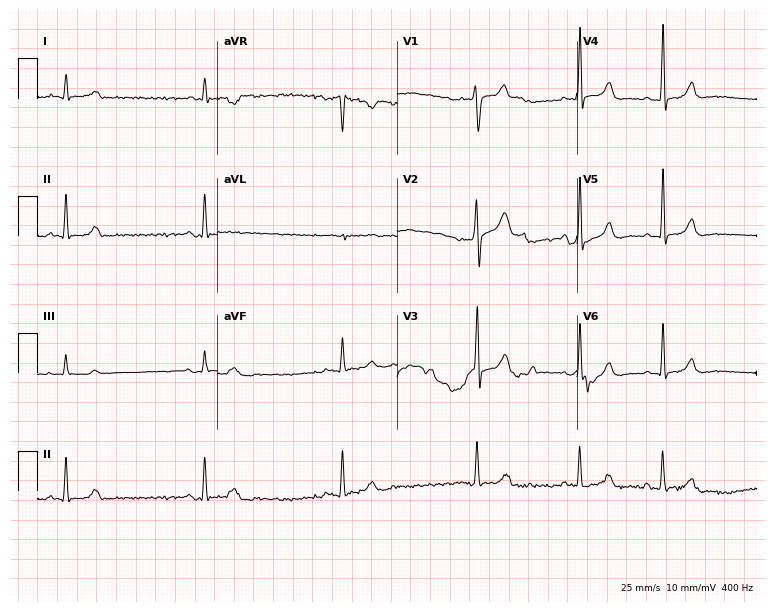
12-lead ECG from a man, 23 years old. Screened for six findings — first-degree AV block, right bundle branch block (RBBB), left bundle branch block (LBBB), sinus bradycardia, atrial fibrillation (AF), sinus tachycardia — none is recorded.